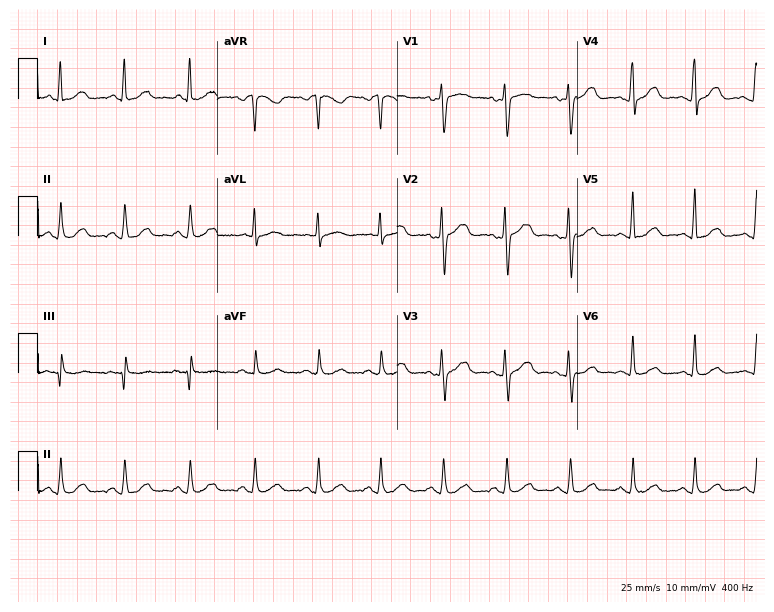
Standard 12-lead ECG recorded from a female patient, 62 years old (7.3-second recording at 400 Hz). Read as a normal ECG.